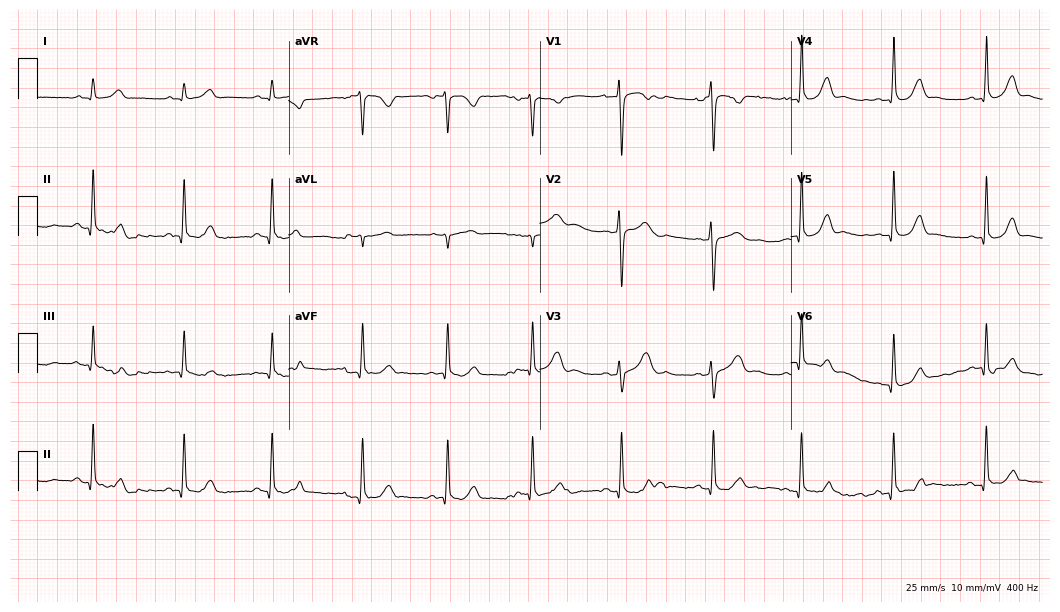
Electrocardiogram, a female, 30 years old. Overall reading on record: normal ECG.